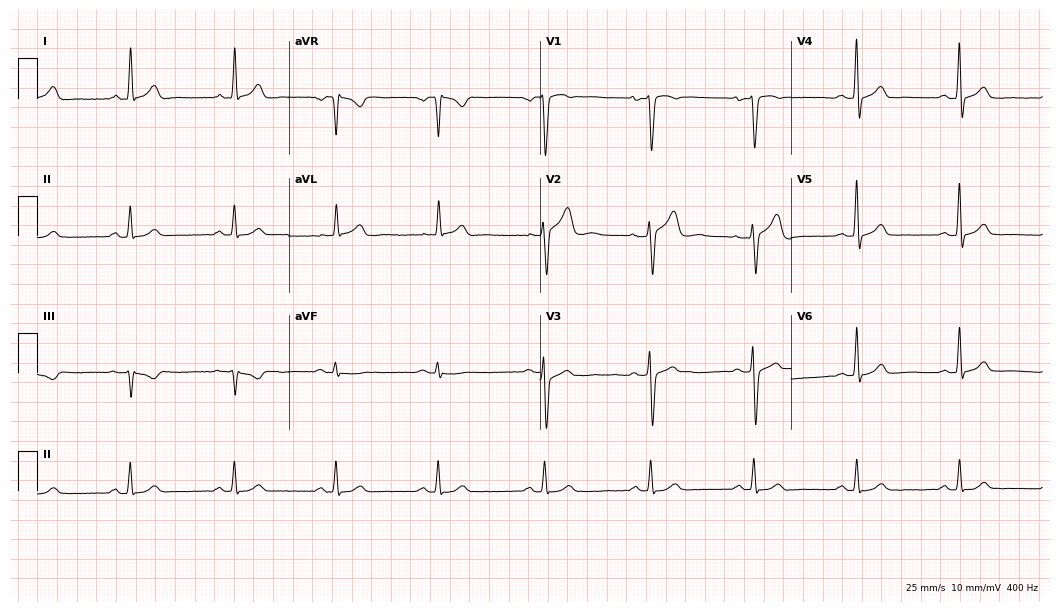
Electrocardiogram (10.2-second recording at 400 Hz), a 48-year-old male patient. Overall reading on record: normal ECG.